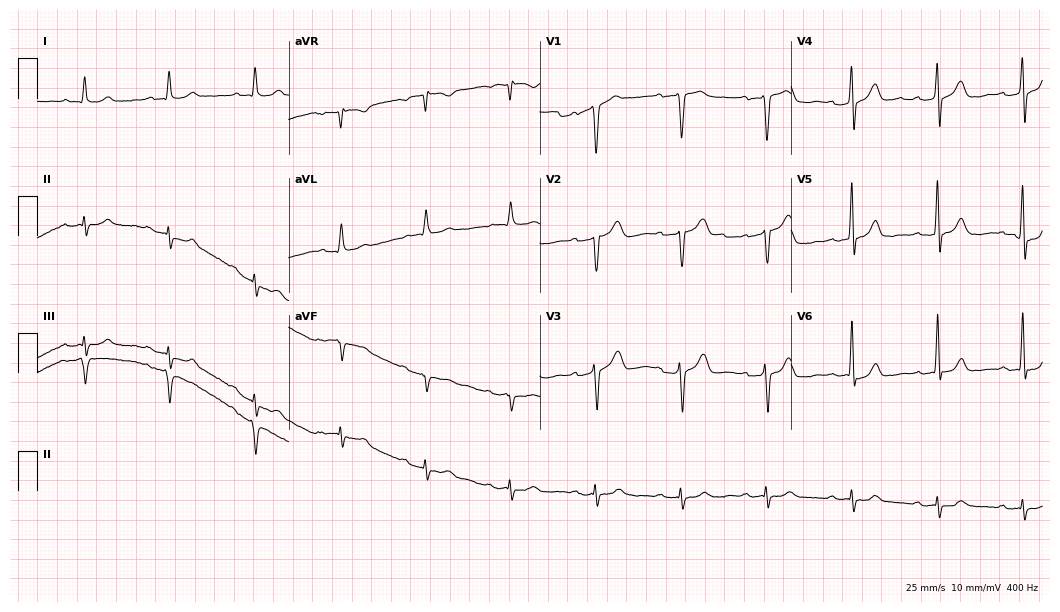
ECG (10.2-second recording at 400 Hz) — a male patient, 70 years old. Findings include first-degree AV block.